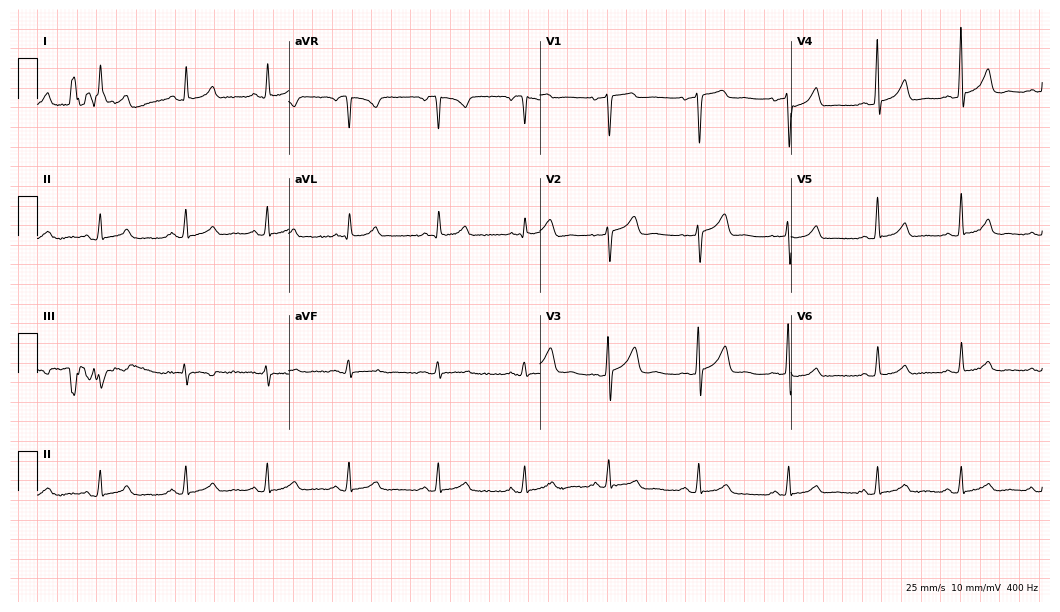
Resting 12-lead electrocardiogram (10.2-second recording at 400 Hz). Patient: a woman, 41 years old. None of these six findings is recorded: first-degree AV block, right bundle branch block, left bundle branch block, sinus bradycardia, atrial fibrillation, sinus tachycardia. Only these six findings were labelled.